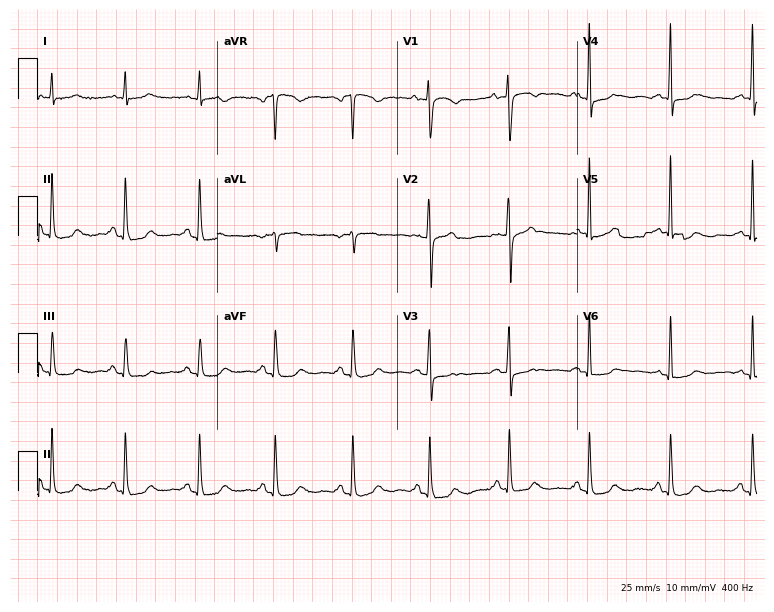
Resting 12-lead electrocardiogram. Patient: a woman, 62 years old. None of these six findings is recorded: first-degree AV block, right bundle branch block (RBBB), left bundle branch block (LBBB), sinus bradycardia, atrial fibrillation (AF), sinus tachycardia. Findings outside these six are not listed.